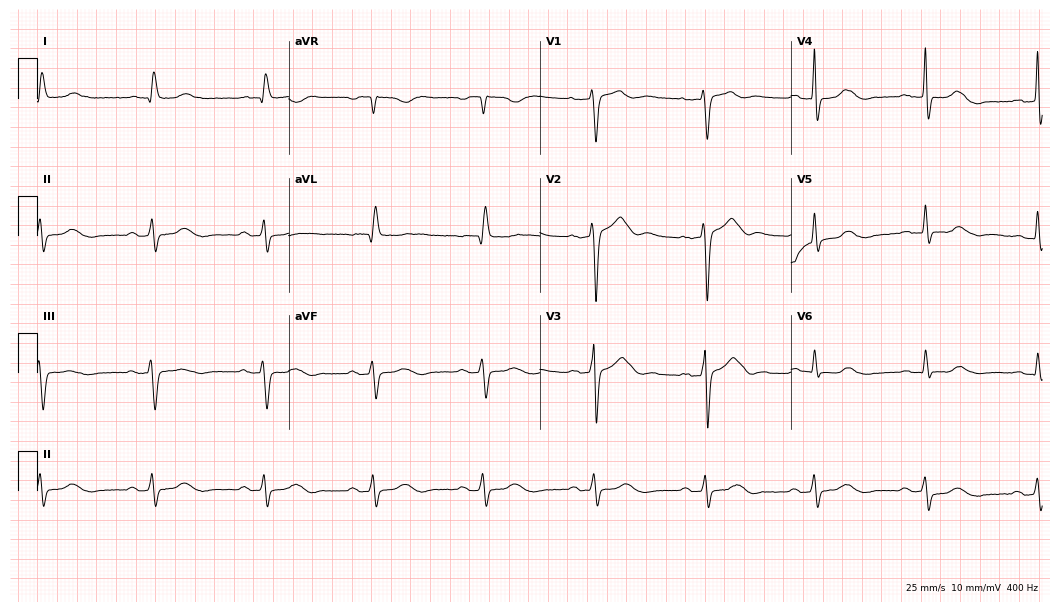
Electrocardiogram (10.2-second recording at 400 Hz), a male, 67 years old. Interpretation includes first-degree AV block.